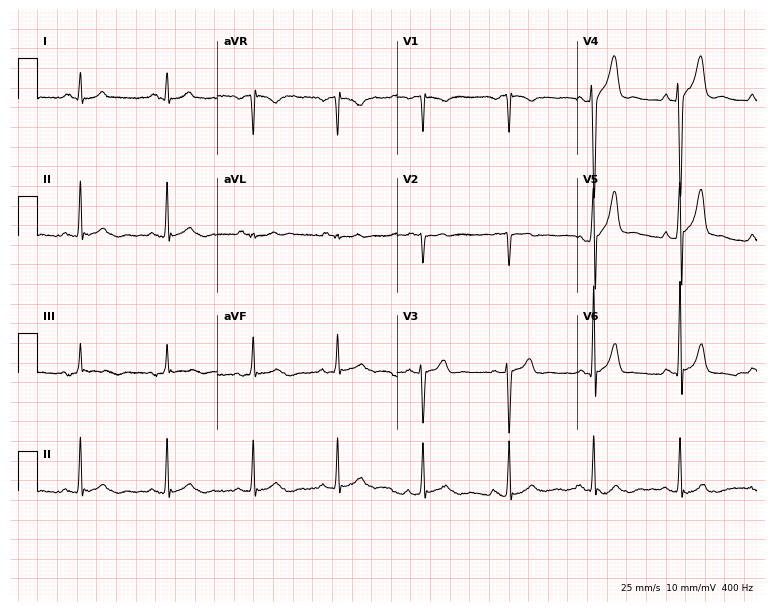
Resting 12-lead electrocardiogram (7.3-second recording at 400 Hz). Patient: a male, 22 years old. None of these six findings is recorded: first-degree AV block, right bundle branch block (RBBB), left bundle branch block (LBBB), sinus bradycardia, atrial fibrillation (AF), sinus tachycardia.